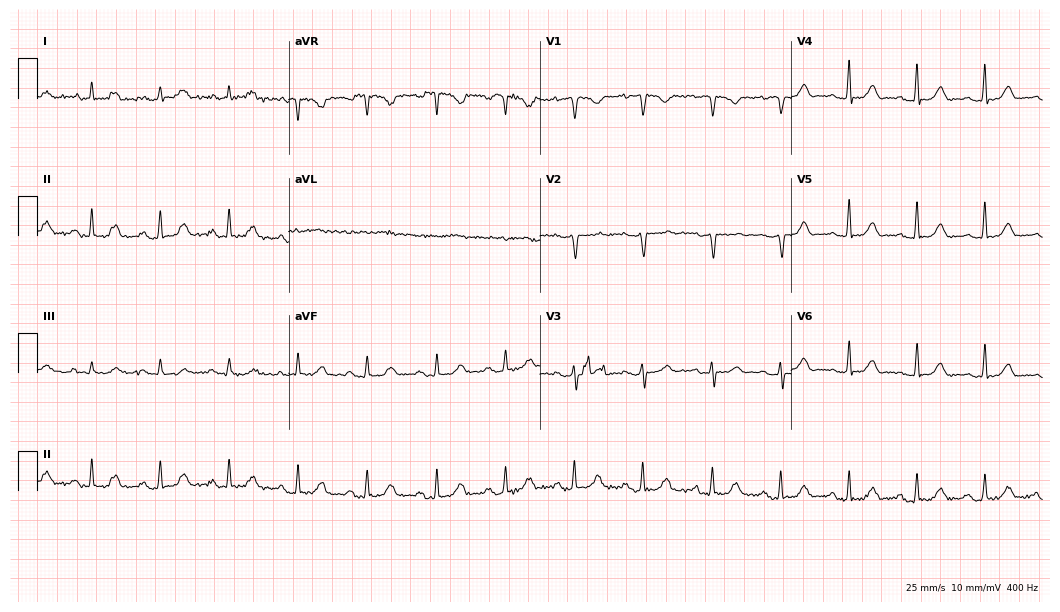
12-lead ECG from a woman, 50 years old (10.2-second recording at 400 Hz). Recorded interpretation: within normal limits.